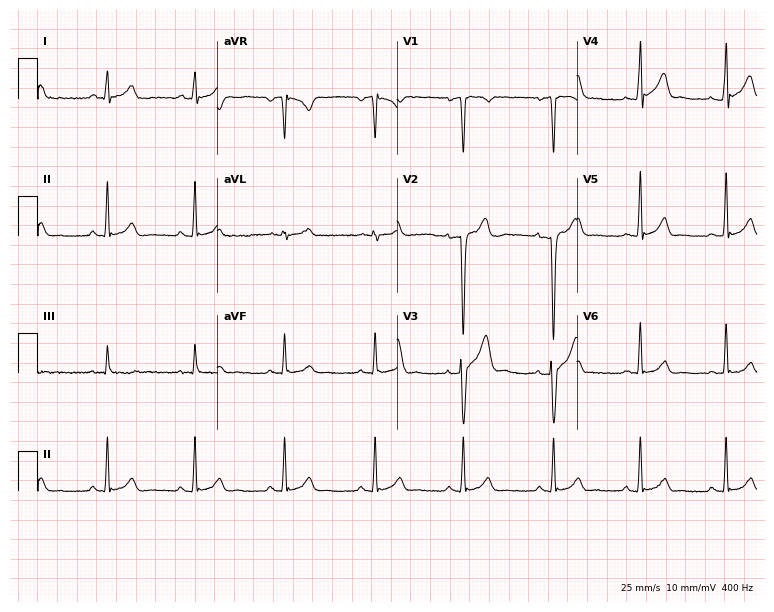
Resting 12-lead electrocardiogram (7.3-second recording at 400 Hz). Patient: a male, 27 years old. Read as a normal ECG.